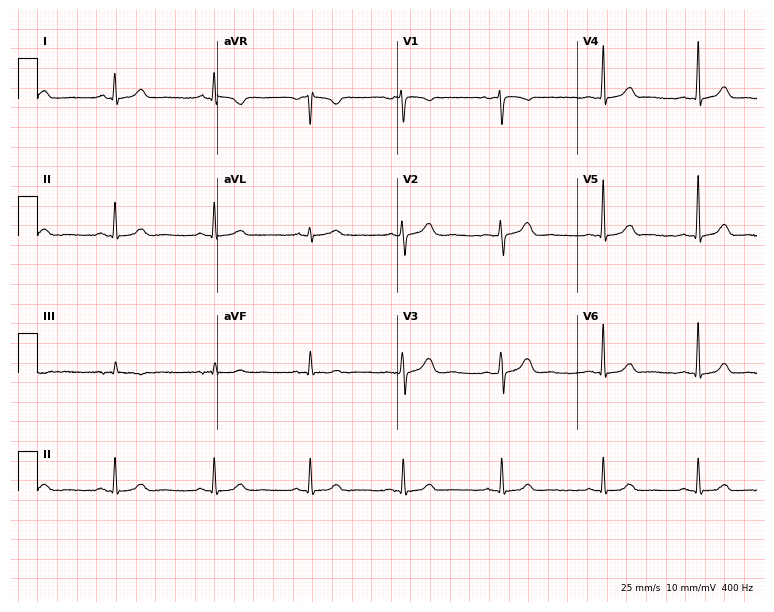
Electrocardiogram (7.3-second recording at 400 Hz), a female, 45 years old. Of the six screened findings (first-degree AV block, right bundle branch block, left bundle branch block, sinus bradycardia, atrial fibrillation, sinus tachycardia), none is recorded. Only these six findings were labelled.